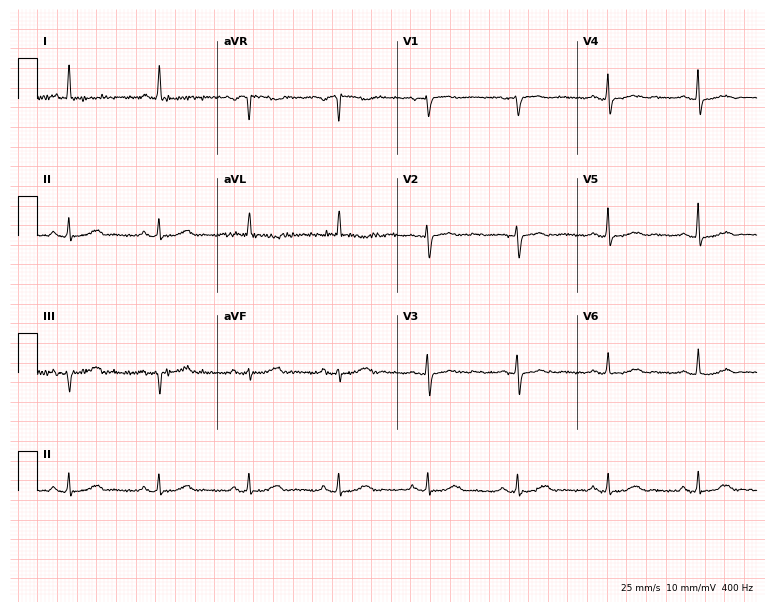
Resting 12-lead electrocardiogram (7.3-second recording at 400 Hz). Patient: a female, 80 years old. Read as a normal ECG.